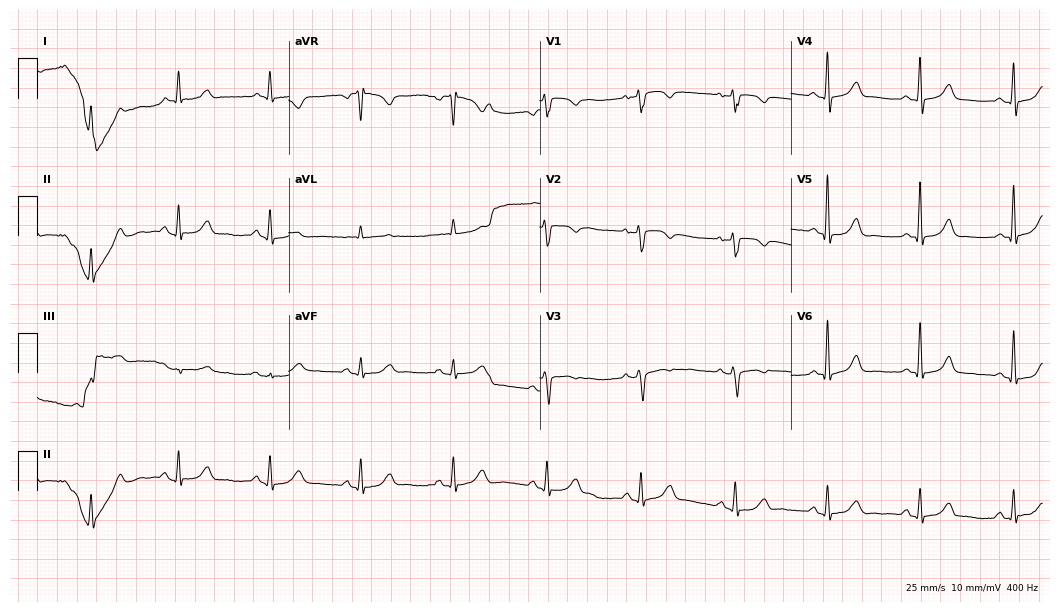
12-lead ECG from a woman, 73 years old. Labelled as a normal ECG.